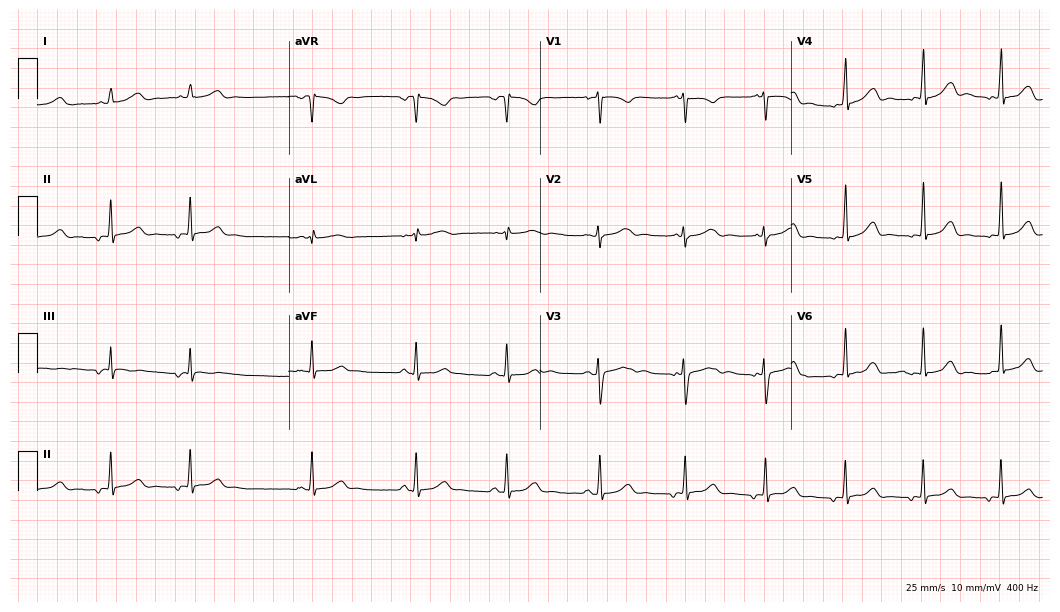
Resting 12-lead electrocardiogram. Patient: a woman, 17 years old. Read as a normal ECG.